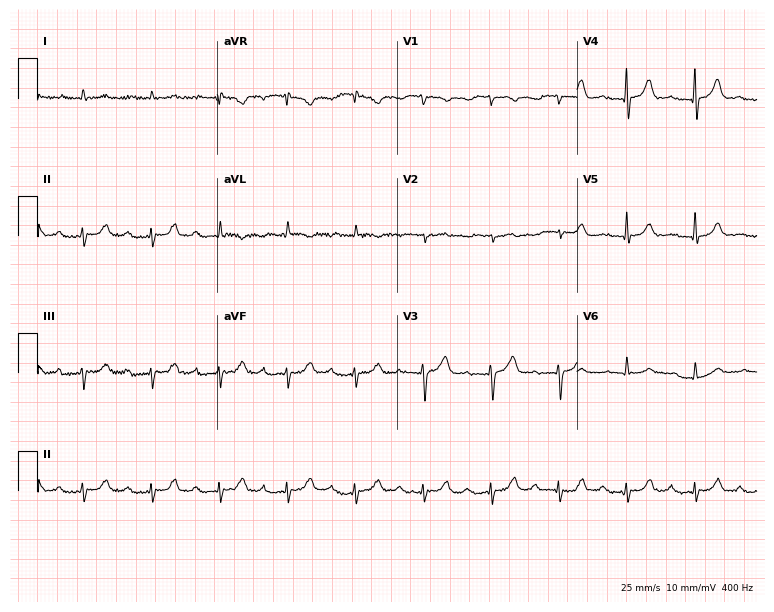
12-lead ECG from a female, 85 years old (7.3-second recording at 400 Hz). Shows first-degree AV block.